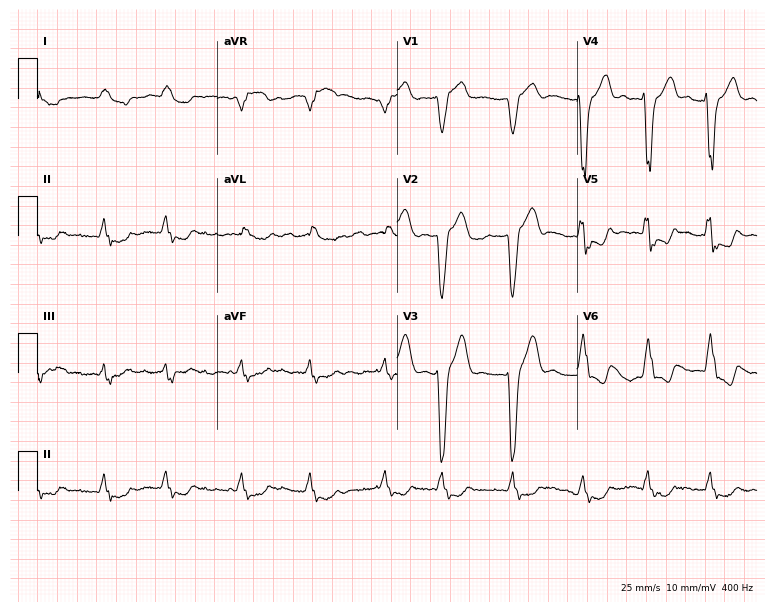
ECG — a man, 76 years old. Findings include left bundle branch block, atrial fibrillation.